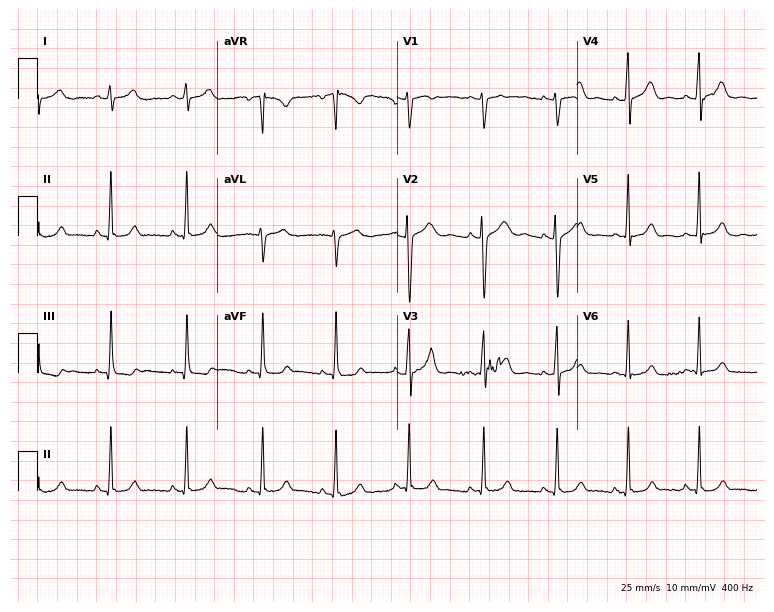
Standard 12-lead ECG recorded from a female, 21 years old (7.3-second recording at 400 Hz). None of these six findings is recorded: first-degree AV block, right bundle branch block, left bundle branch block, sinus bradycardia, atrial fibrillation, sinus tachycardia. Findings outside these six are not listed.